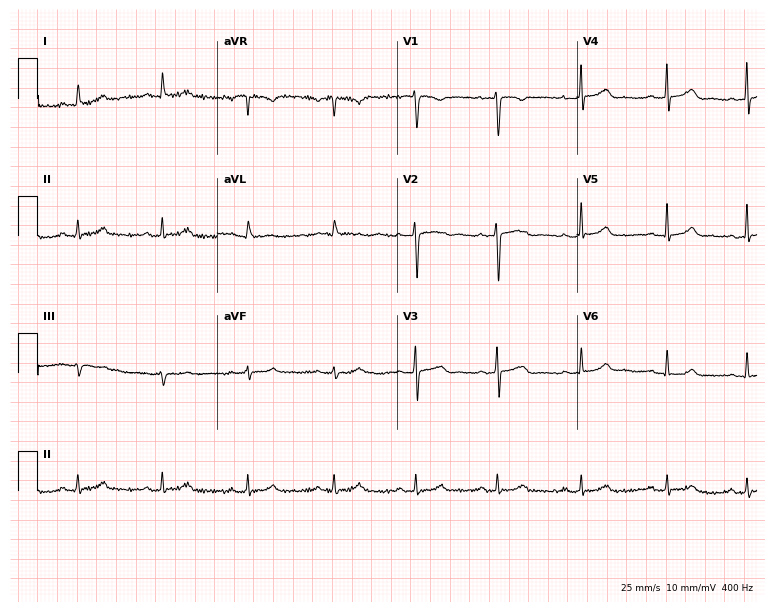
Standard 12-lead ECG recorded from a female, 27 years old. None of these six findings is recorded: first-degree AV block, right bundle branch block (RBBB), left bundle branch block (LBBB), sinus bradycardia, atrial fibrillation (AF), sinus tachycardia. Only these six findings were labelled.